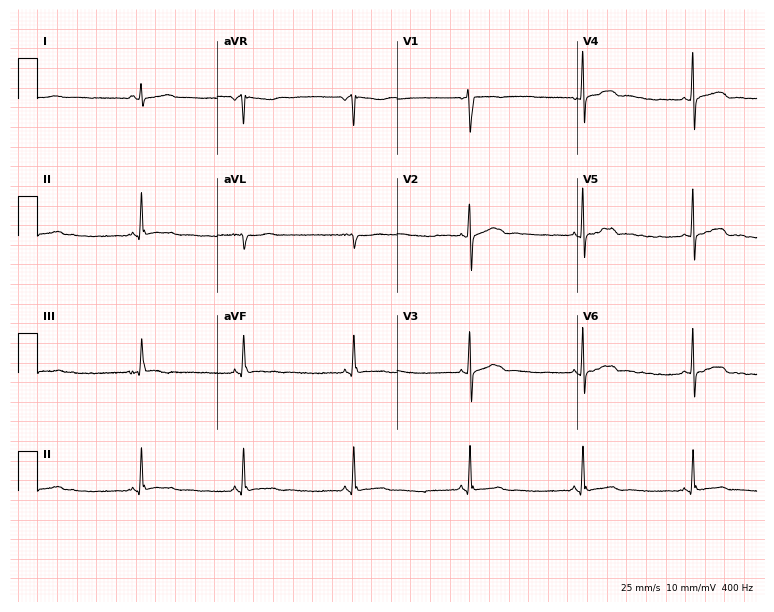
Electrocardiogram (7.3-second recording at 400 Hz), an 18-year-old female patient. Of the six screened findings (first-degree AV block, right bundle branch block, left bundle branch block, sinus bradycardia, atrial fibrillation, sinus tachycardia), none is recorded. Other findings, if any, are not listed.